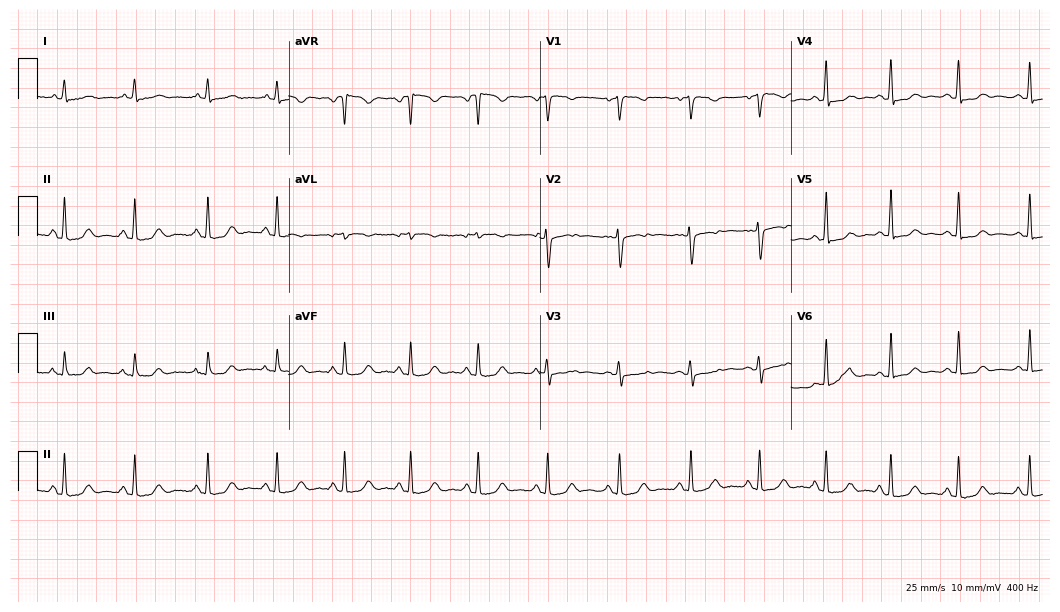
Electrocardiogram (10.2-second recording at 400 Hz), a 33-year-old woman. Of the six screened findings (first-degree AV block, right bundle branch block (RBBB), left bundle branch block (LBBB), sinus bradycardia, atrial fibrillation (AF), sinus tachycardia), none is recorded.